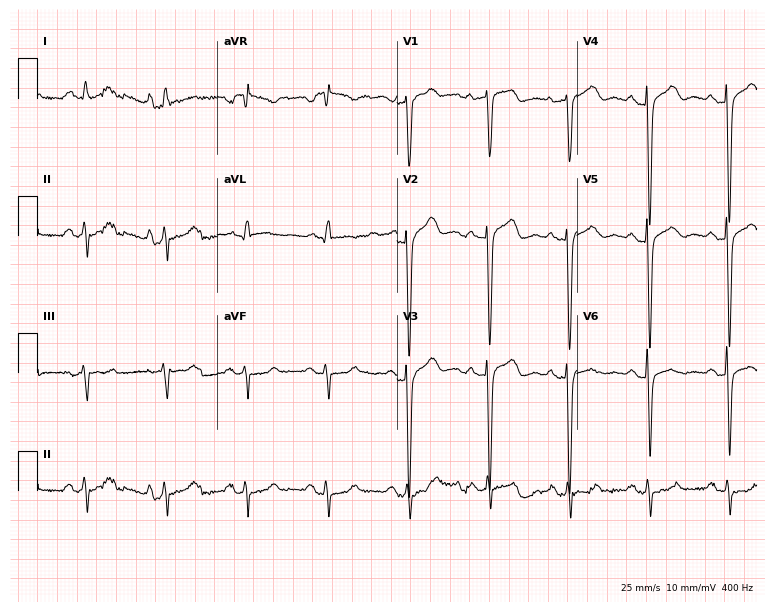
12-lead ECG from a man, 65 years old (7.3-second recording at 400 Hz). No first-degree AV block, right bundle branch block (RBBB), left bundle branch block (LBBB), sinus bradycardia, atrial fibrillation (AF) or sinus tachycardia recorded for this tracing. Other findings, if any, are not listed.